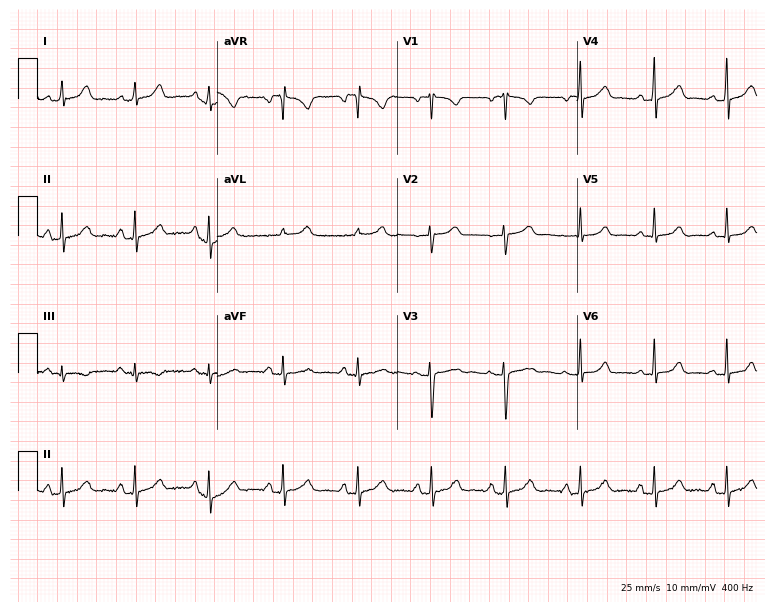
12-lead ECG from a female, 25 years old. No first-degree AV block, right bundle branch block, left bundle branch block, sinus bradycardia, atrial fibrillation or sinus tachycardia recorded for this tracing.